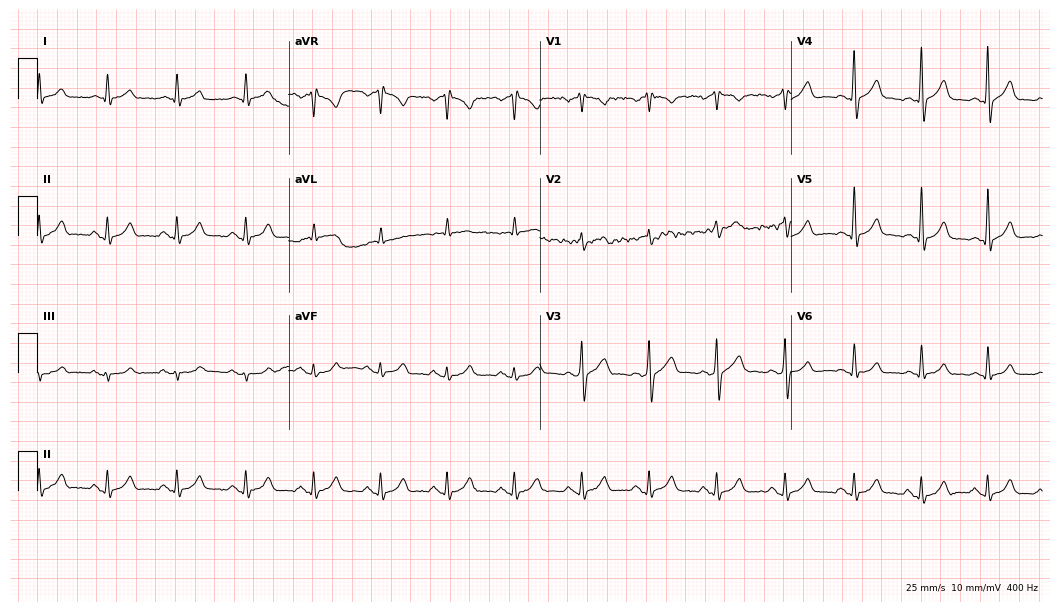
Electrocardiogram (10.2-second recording at 400 Hz), a 44-year-old male patient. Overall reading on record: normal ECG.